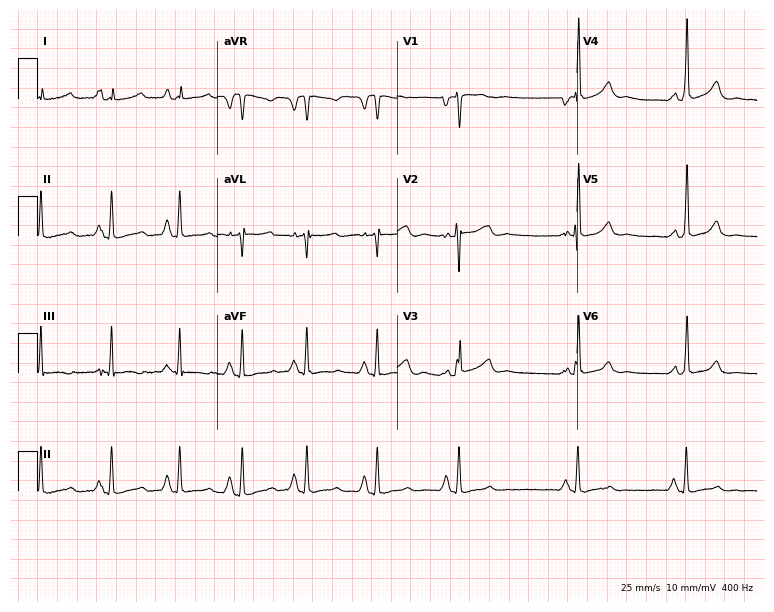
12-lead ECG from a 26-year-old female patient (7.3-second recording at 400 Hz). No first-degree AV block, right bundle branch block, left bundle branch block, sinus bradycardia, atrial fibrillation or sinus tachycardia recorded for this tracing.